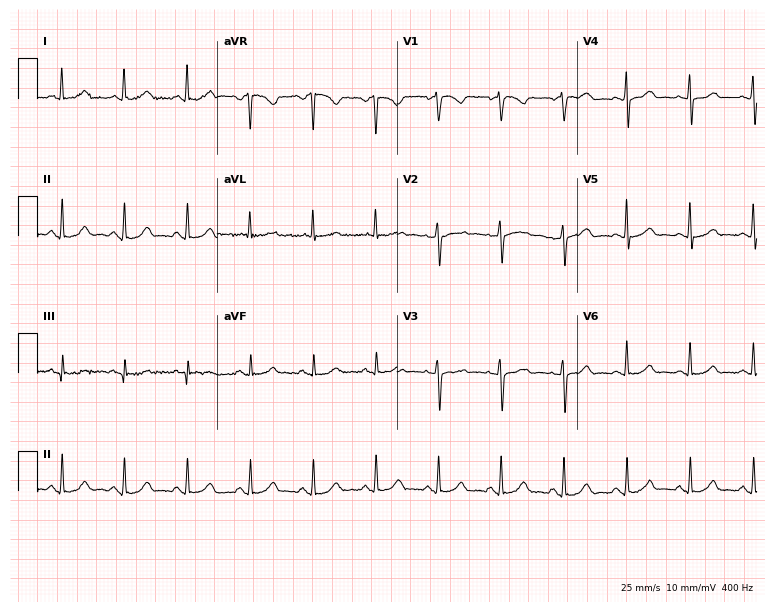
12-lead ECG from a 49-year-old woman (7.3-second recording at 400 Hz). Recorded interpretation: within normal limits.